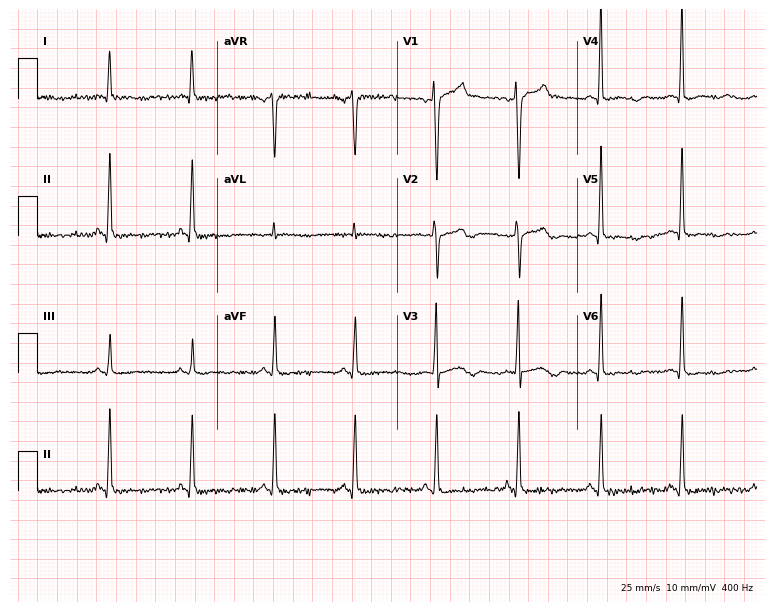
Electrocardiogram, a male, 49 years old. Of the six screened findings (first-degree AV block, right bundle branch block, left bundle branch block, sinus bradycardia, atrial fibrillation, sinus tachycardia), none is recorded.